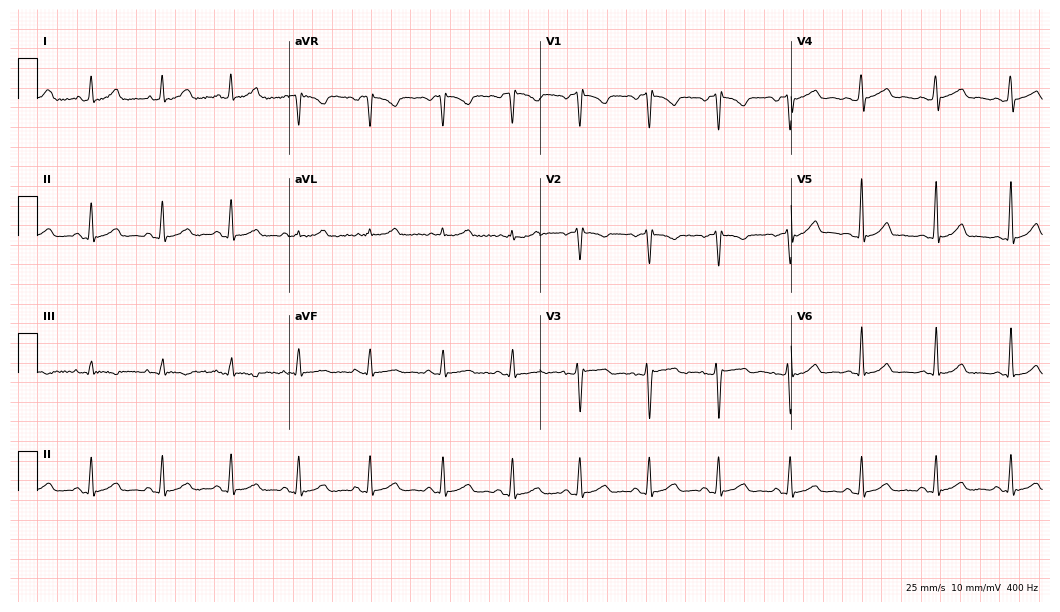
Resting 12-lead electrocardiogram. Patient: a 37-year-old female. Read as a normal ECG.